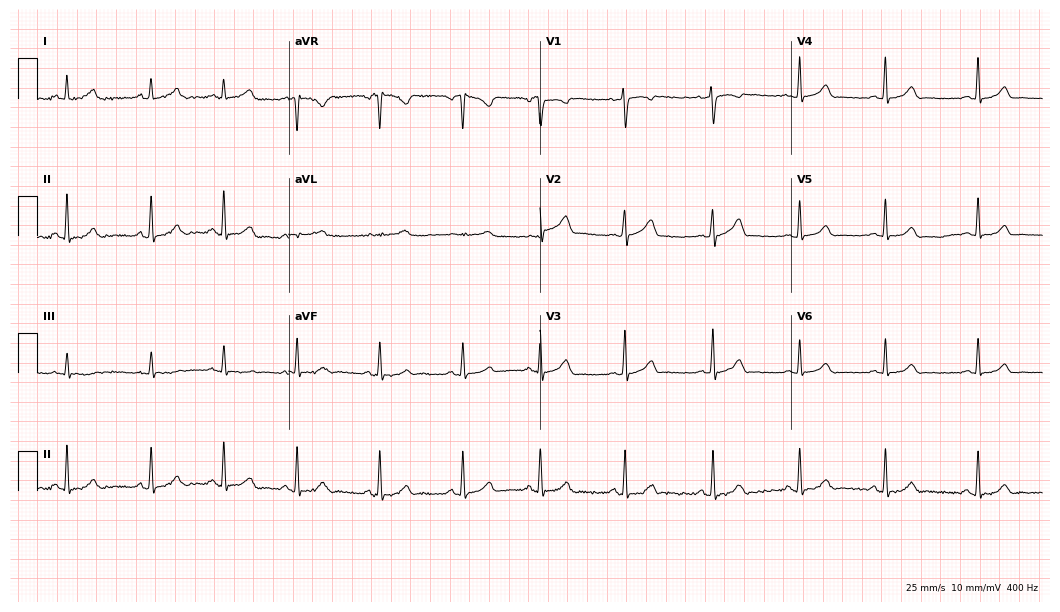
12-lead ECG from a woman, 18 years old. Recorded interpretation: within normal limits.